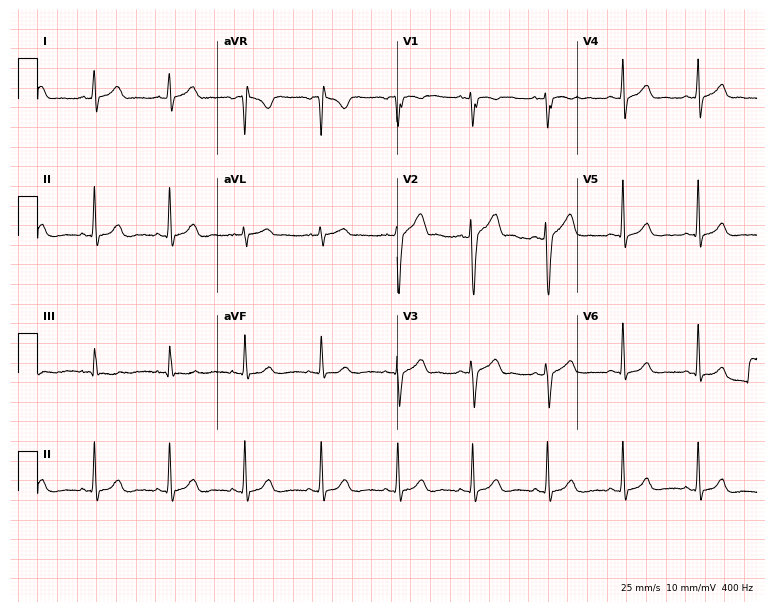
Resting 12-lead electrocardiogram. Patient: a 23-year-old man. Read as a normal ECG.